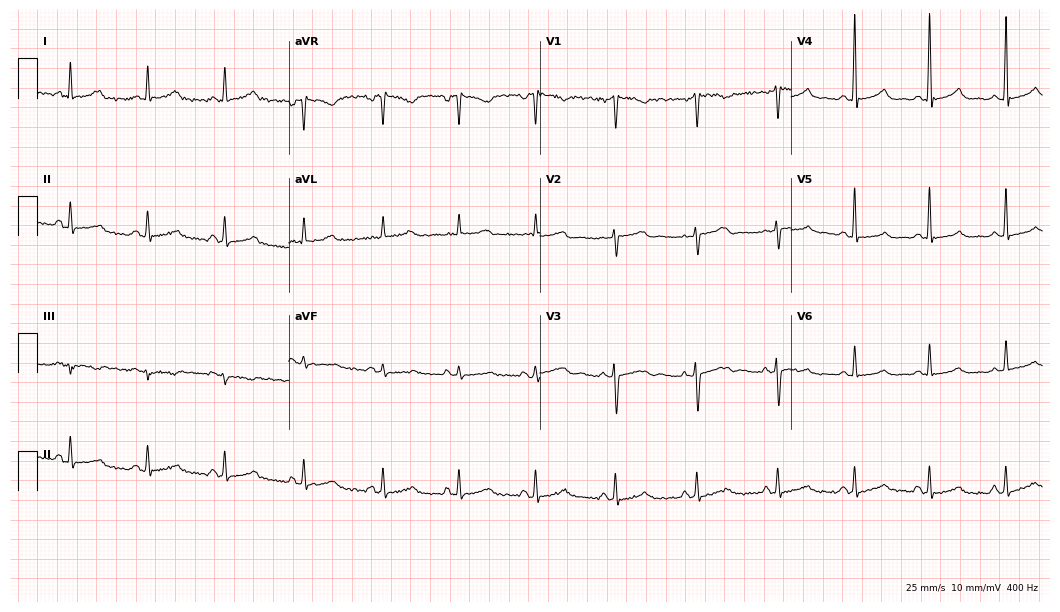
Resting 12-lead electrocardiogram. Patient: a 50-year-old female. None of these six findings is recorded: first-degree AV block, right bundle branch block, left bundle branch block, sinus bradycardia, atrial fibrillation, sinus tachycardia. Other findings, if any, are not listed.